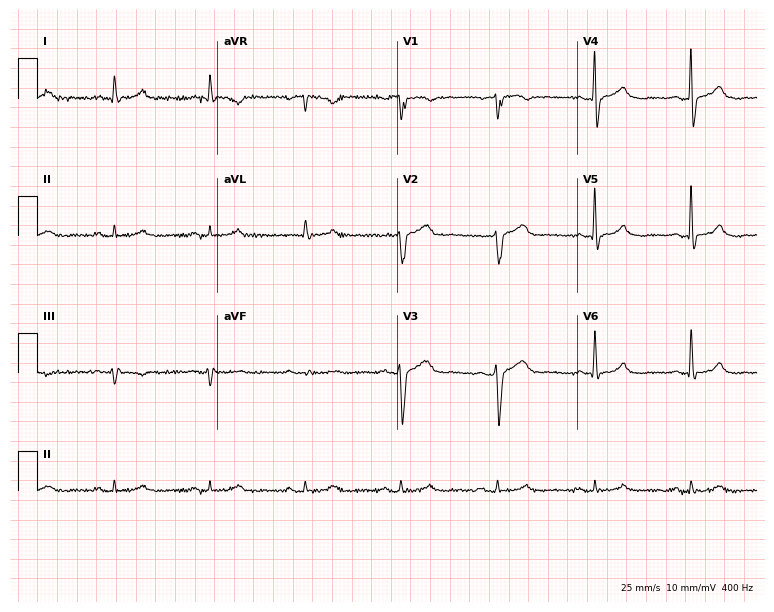
ECG — a 63-year-old male patient. Labelled as a normal ECG.